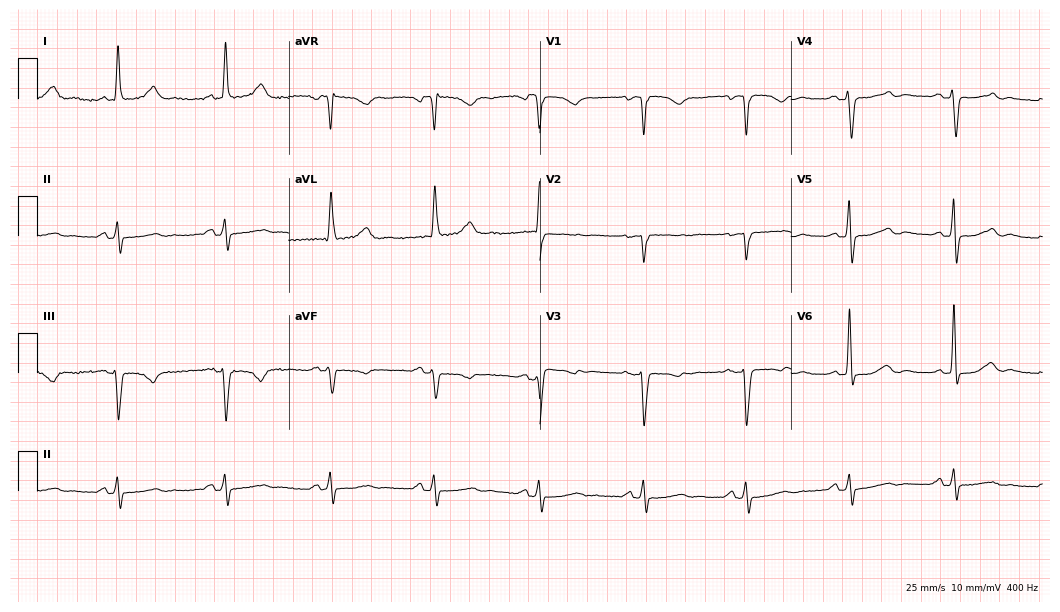
Standard 12-lead ECG recorded from an 81-year-old woman. None of these six findings is recorded: first-degree AV block, right bundle branch block (RBBB), left bundle branch block (LBBB), sinus bradycardia, atrial fibrillation (AF), sinus tachycardia. Other findings, if any, are not listed.